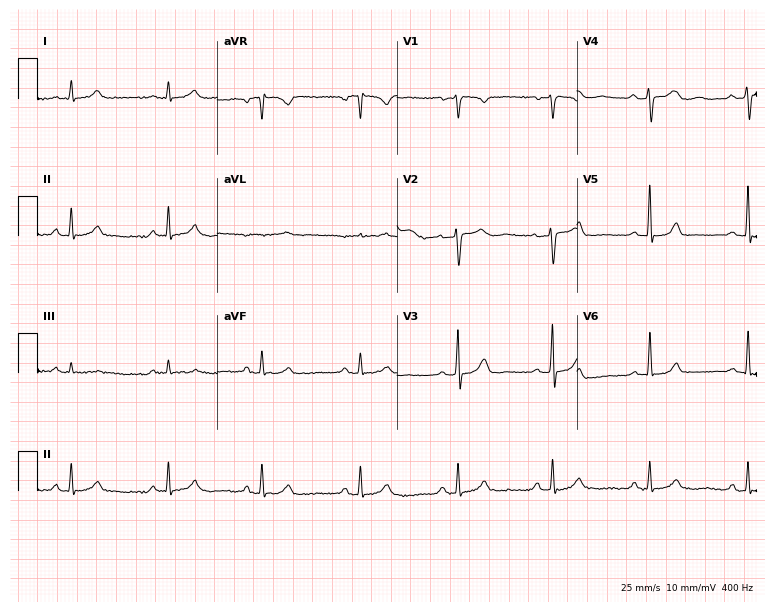
Standard 12-lead ECG recorded from a female patient, 45 years old (7.3-second recording at 400 Hz). None of these six findings is recorded: first-degree AV block, right bundle branch block (RBBB), left bundle branch block (LBBB), sinus bradycardia, atrial fibrillation (AF), sinus tachycardia. Findings outside these six are not listed.